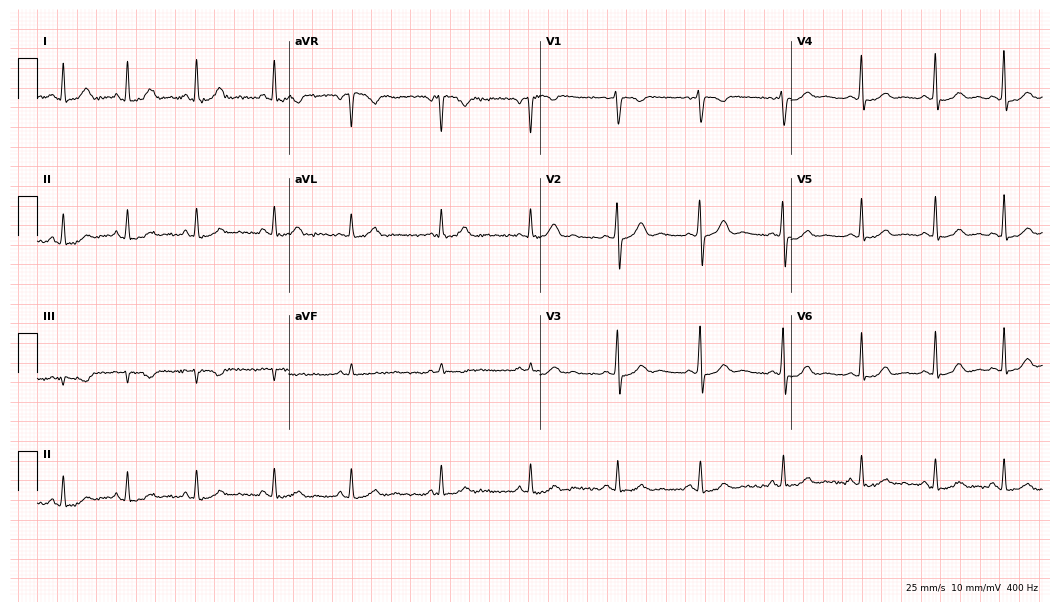
Standard 12-lead ECG recorded from a 33-year-old female patient (10.2-second recording at 400 Hz). Read as a normal ECG.